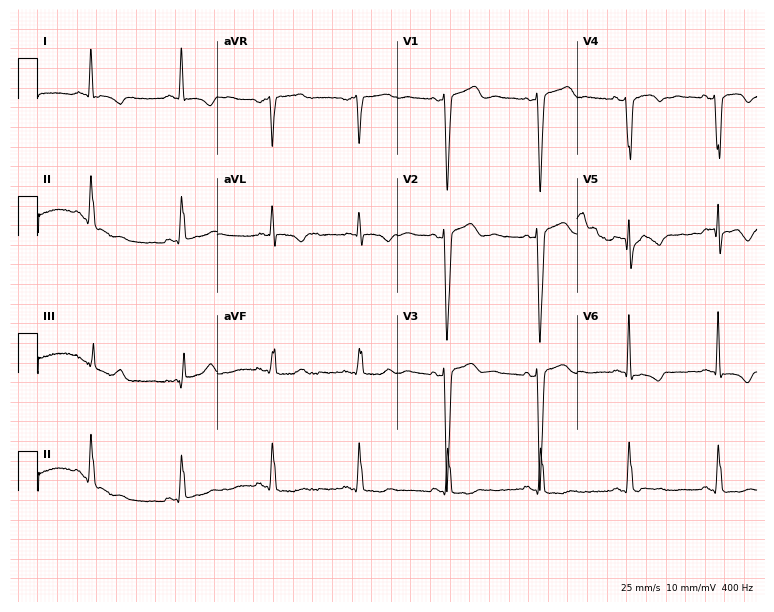
Electrocardiogram (7.3-second recording at 400 Hz), a female, 77 years old. Of the six screened findings (first-degree AV block, right bundle branch block, left bundle branch block, sinus bradycardia, atrial fibrillation, sinus tachycardia), none is recorded.